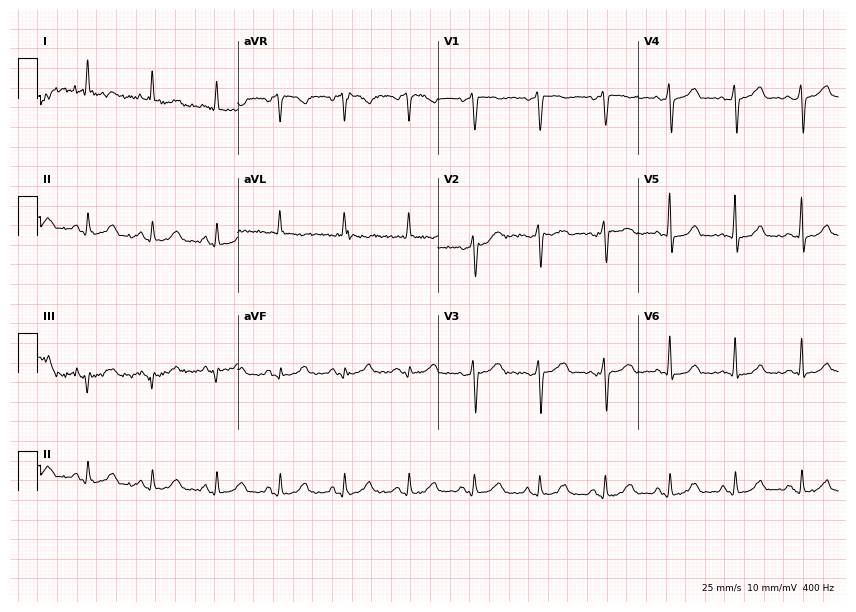
12-lead ECG from a 71-year-old woman. No first-degree AV block, right bundle branch block (RBBB), left bundle branch block (LBBB), sinus bradycardia, atrial fibrillation (AF) or sinus tachycardia recorded for this tracing. Other findings, if any, are not listed.